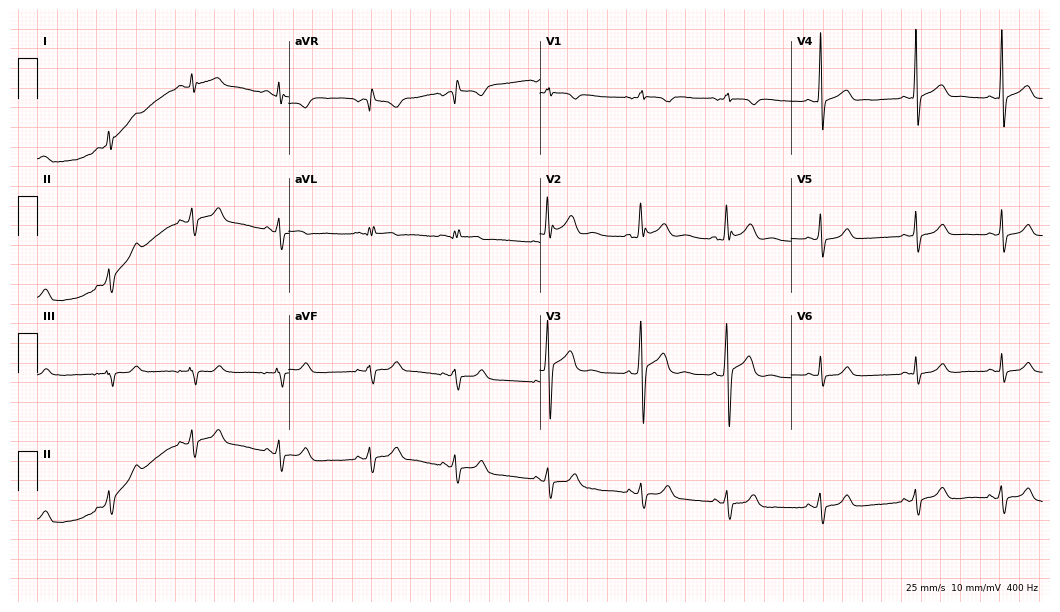
12-lead ECG from a 19-year-old male patient (10.2-second recording at 400 Hz). No first-degree AV block, right bundle branch block, left bundle branch block, sinus bradycardia, atrial fibrillation or sinus tachycardia recorded for this tracing. Other findings, if any, are not listed.